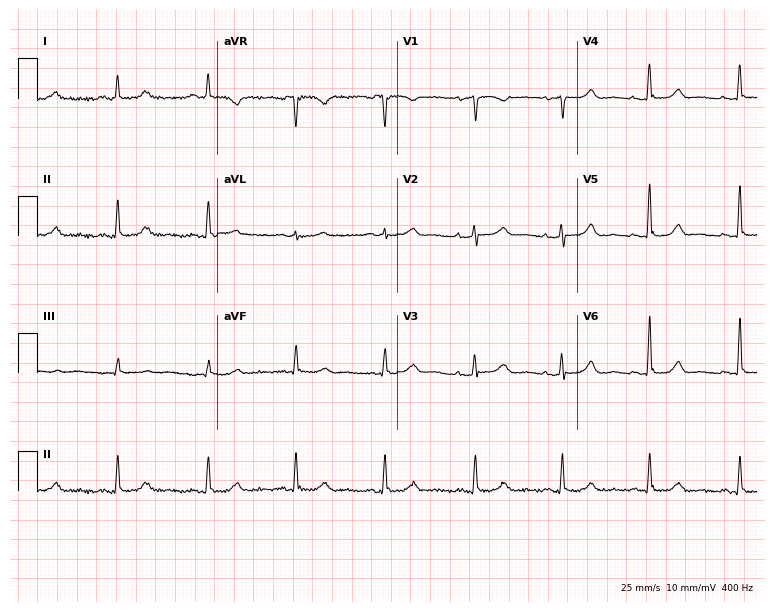
12-lead ECG from a 68-year-old woman (7.3-second recording at 400 Hz). Recorded interpretation: within normal limits.